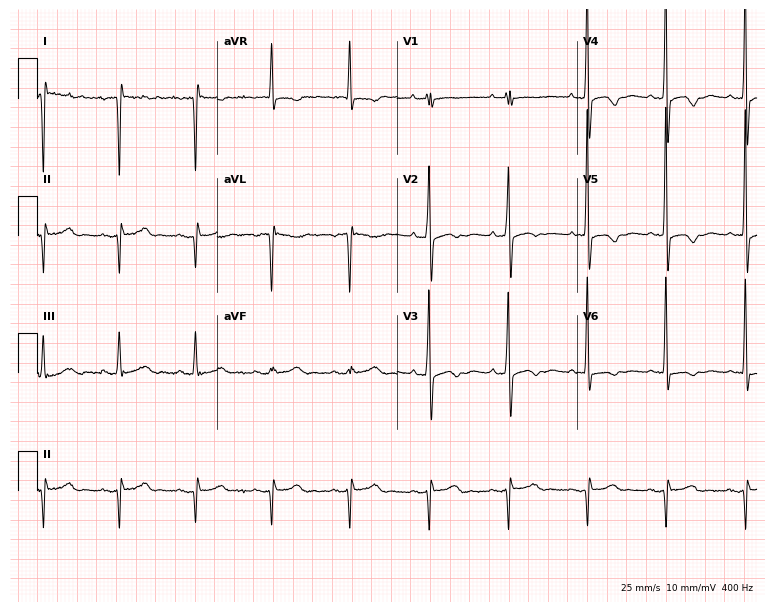
12-lead ECG from a female, 73 years old. No first-degree AV block, right bundle branch block, left bundle branch block, sinus bradycardia, atrial fibrillation or sinus tachycardia recorded for this tracing. Only these six findings were labelled.